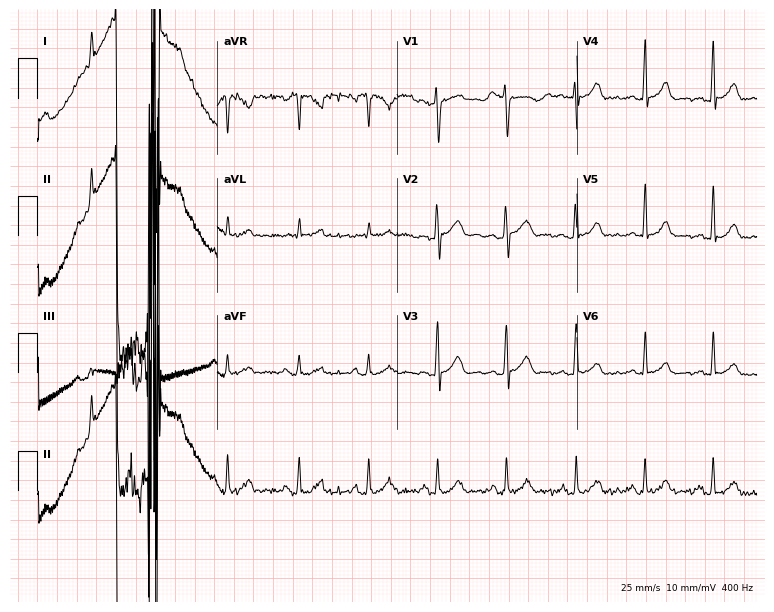
ECG (7.3-second recording at 400 Hz) — a 31-year-old man. Screened for six findings — first-degree AV block, right bundle branch block, left bundle branch block, sinus bradycardia, atrial fibrillation, sinus tachycardia — none is recorded.